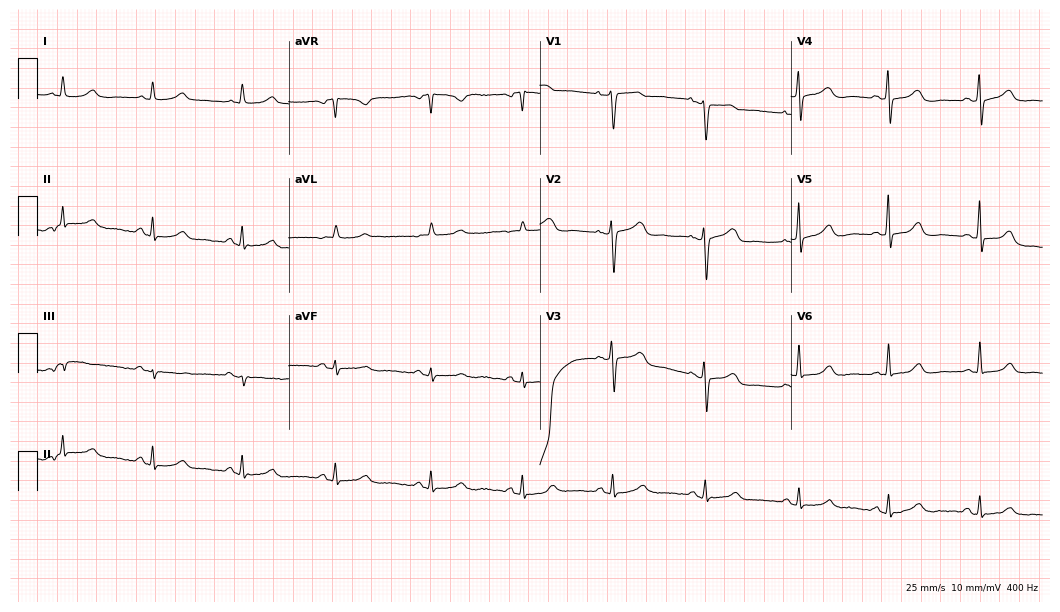
ECG (10.2-second recording at 400 Hz) — a woman, 66 years old. Labelled as a normal ECG.